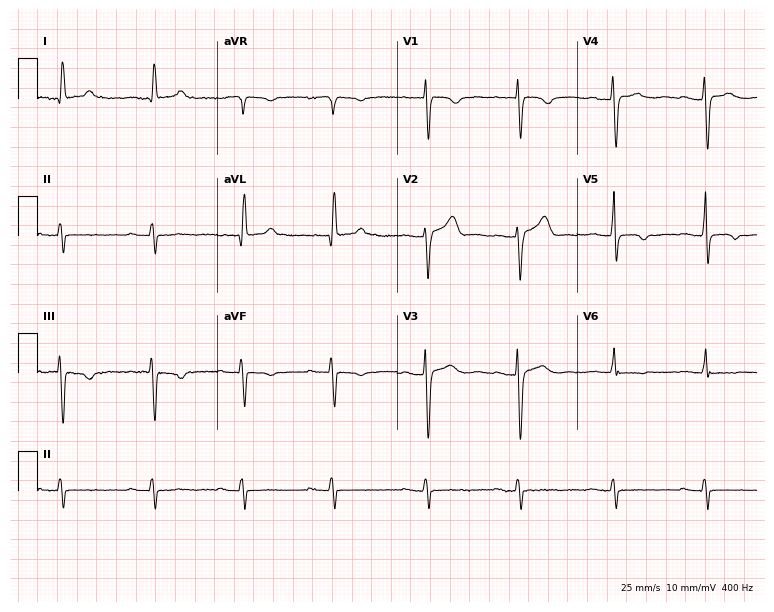
ECG (7.3-second recording at 400 Hz) — a 53-year-old male patient. Findings include first-degree AV block.